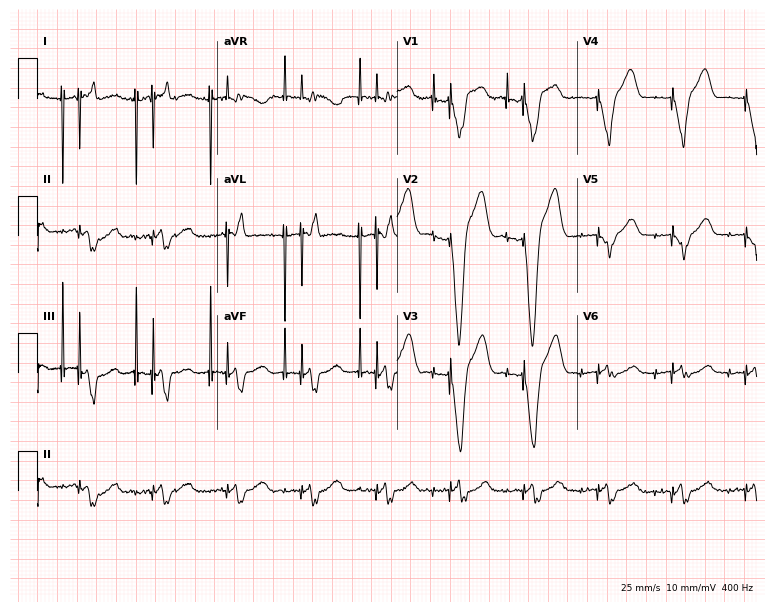
12-lead ECG from a 79-year-old male. Screened for six findings — first-degree AV block, right bundle branch block, left bundle branch block, sinus bradycardia, atrial fibrillation, sinus tachycardia — none is recorded. Other findings, if any, are not listed.